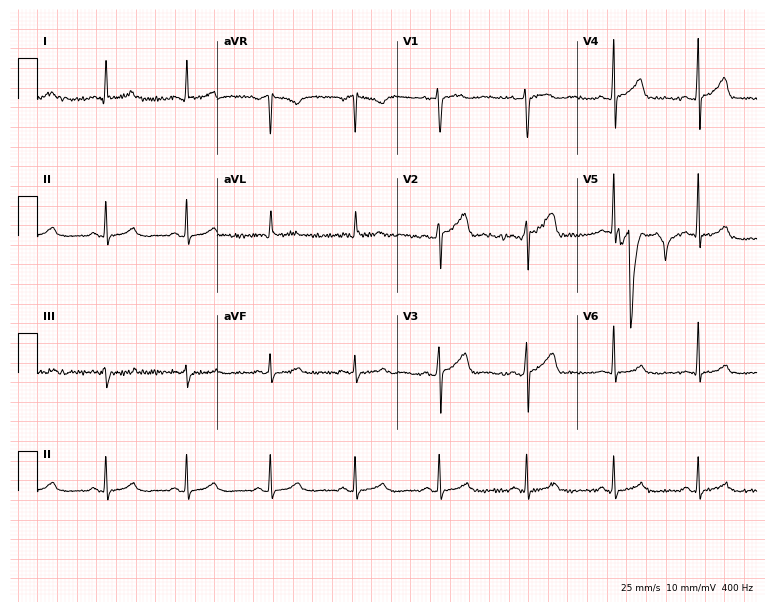
Electrocardiogram (7.3-second recording at 400 Hz), a female, 64 years old. Overall reading on record: normal ECG.